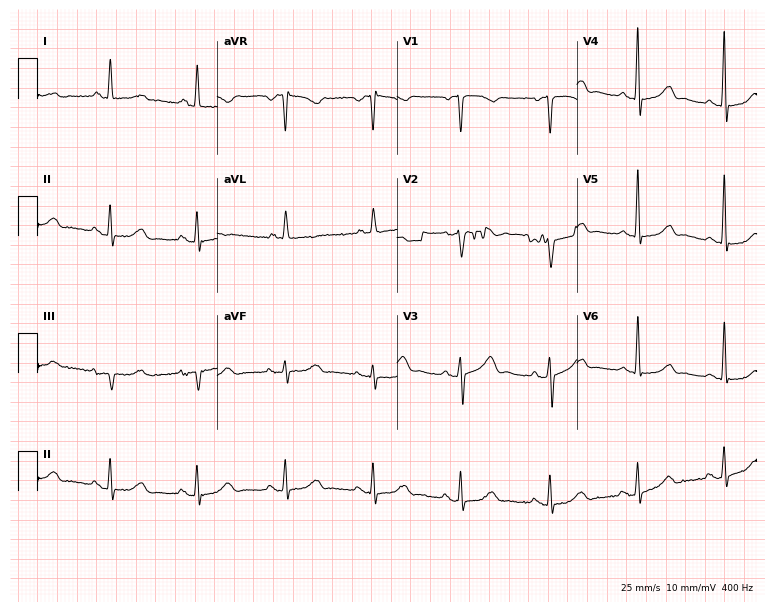
12-lead ECG from a 79-year-old female. No first-degree AV block, right bundle branch block, left bundle branch block, sinus bradycardia, atrial fibrillation or sinus tachycardia recorded for this tracing.